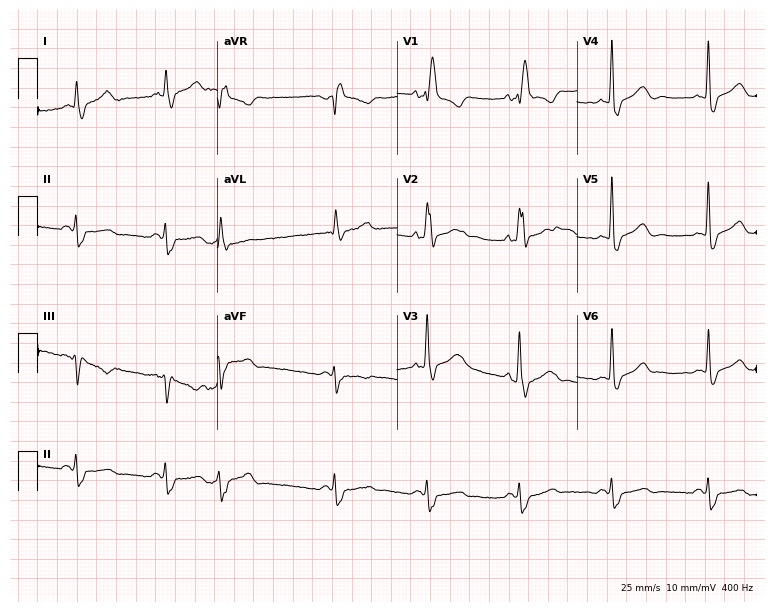
12-lead ECG from a male patient, 69 years old. Shows right bundle branch block.